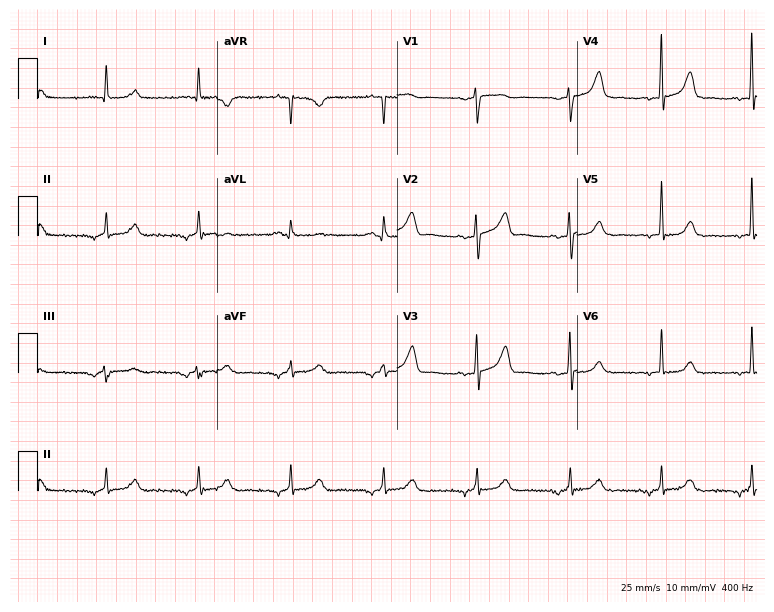
ECG (7.3-second recording at 400 Hz) — a 73-year-old female patient. Labelled as a normal ECG.